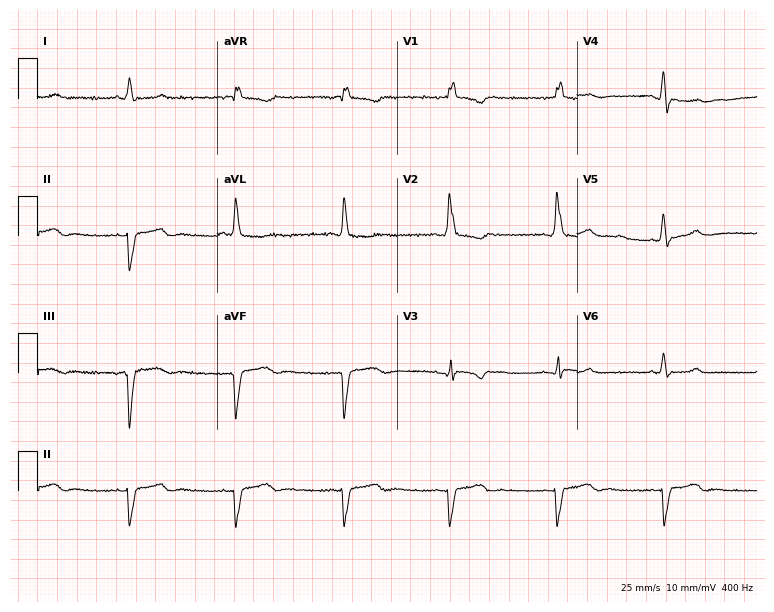
ECG (7.3-second recording at 400 Hz) — a female, 43 years old. Findings include right bundle branch block.